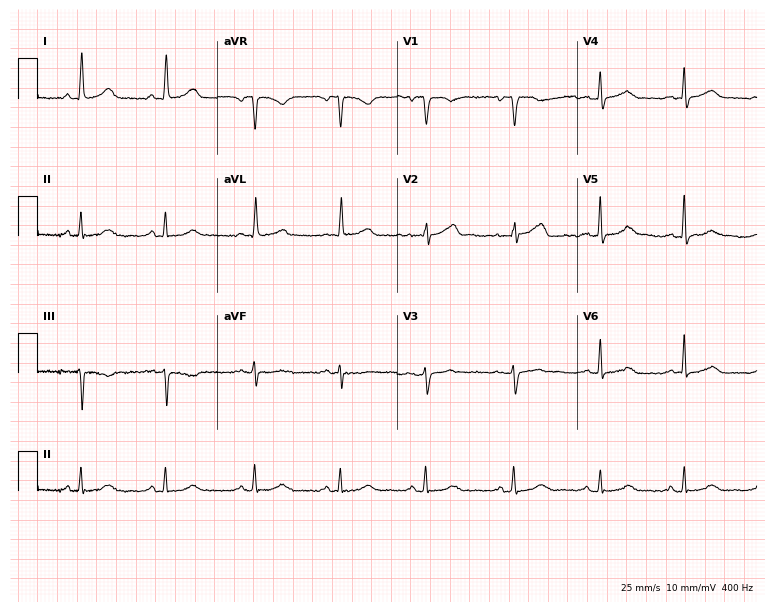
12-lead ECG from a woman, 58 years old. Labelled as a normal ECG.